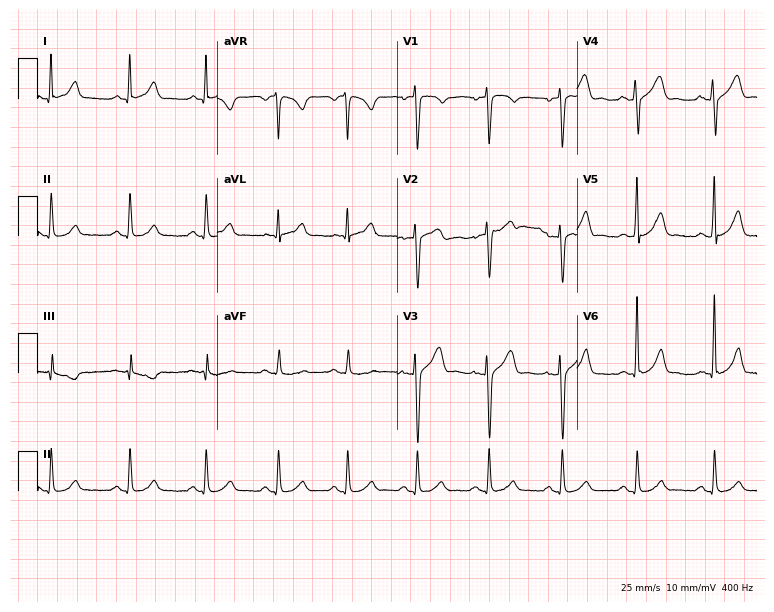
ECG (7.3-second recording at 400 Hz) — a man, 39 years old. Labelled as a normal ECG.